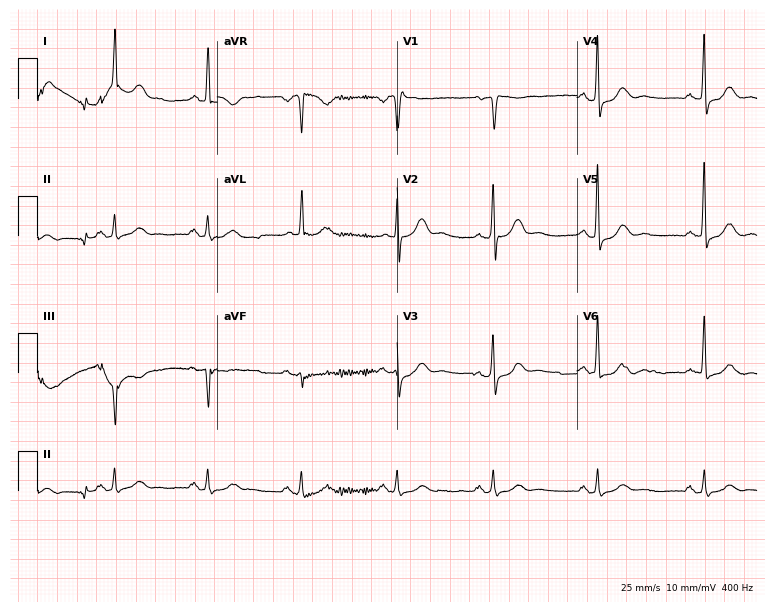
12-lead ECG from a male patient, 61 years old. Labelled as a normal ECG.